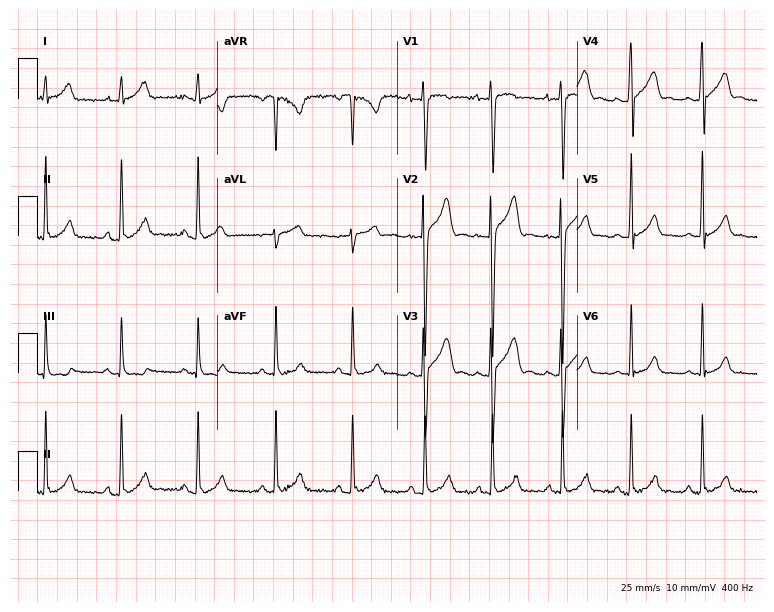
12-lead ECG from a 17-year-old female. No first-degree AV block, right bundle branch block, left bundle branch block, sinus bradycardia, atrial fibrillation or sinus tachycardia recorded for this tracing. Only these six findings were labelled.